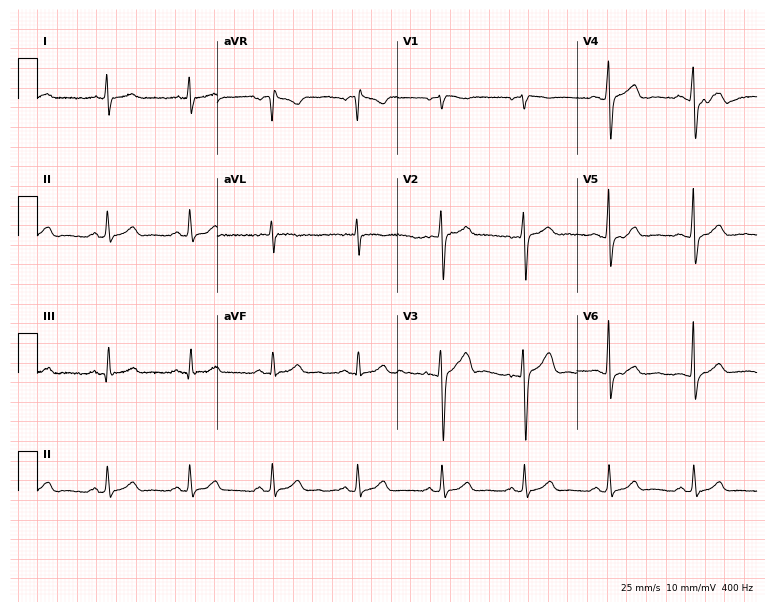
ECG — a man, 43 years old. Labelled as a normal ECG.